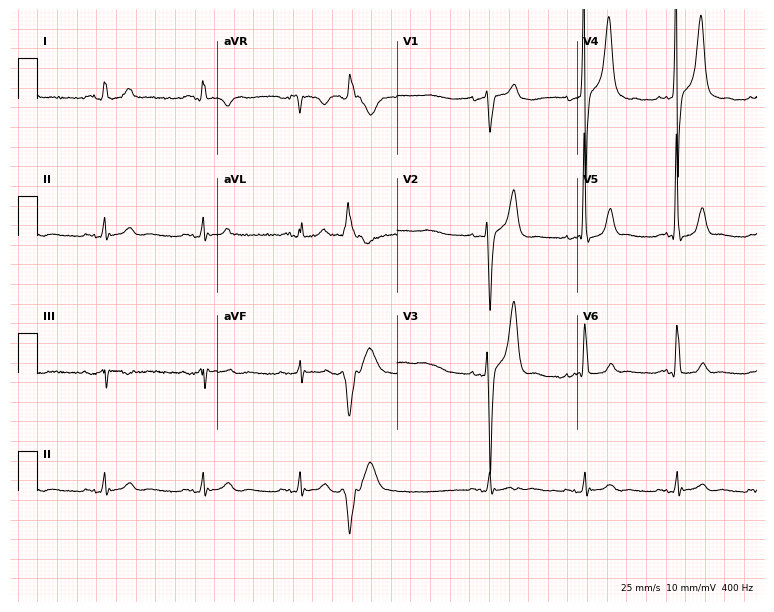
ECG — a 65-year-old male patient. Screened for six findings — first-degree AV block, right bundle branch block, left bundle branch block, sinus bradycardia, atrial fibrillation, sinus tachycardia — none is recorded.